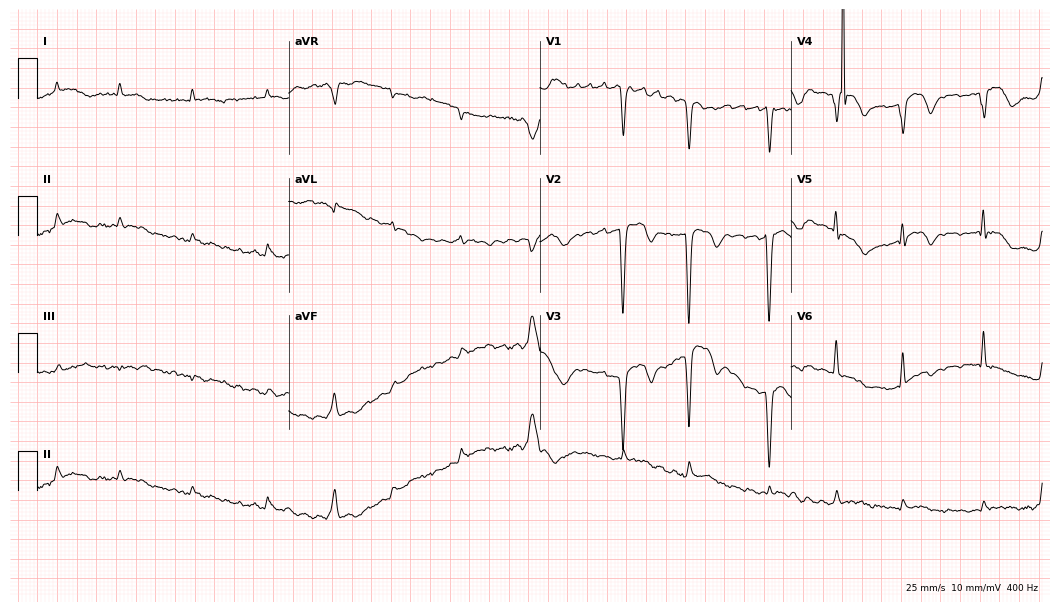
ECG (10.2-second recording at 400 Hz) — an 84-year-old male patient. Screened for six findings — first-degree AV block, right bundle branch block, left bundle branch block, sinus bradycardia, atrial fibrillation, sinus tachycardia — none is recorded. Findings outside these six are not listed.